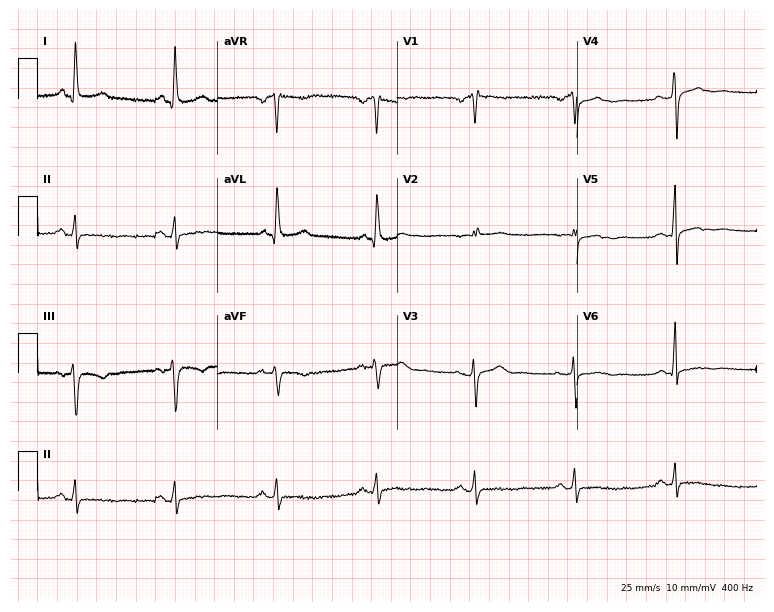
ECG (7.3-second recording at 400 Hz) — a male, 50 years old. Screened for six findings — first-degree AV block, right bundle branch block, left bundle branch block, sinus bradycardia, atrial fibrillation, sinus tachycardia — none is recorded. Findings outside these six are not listed.